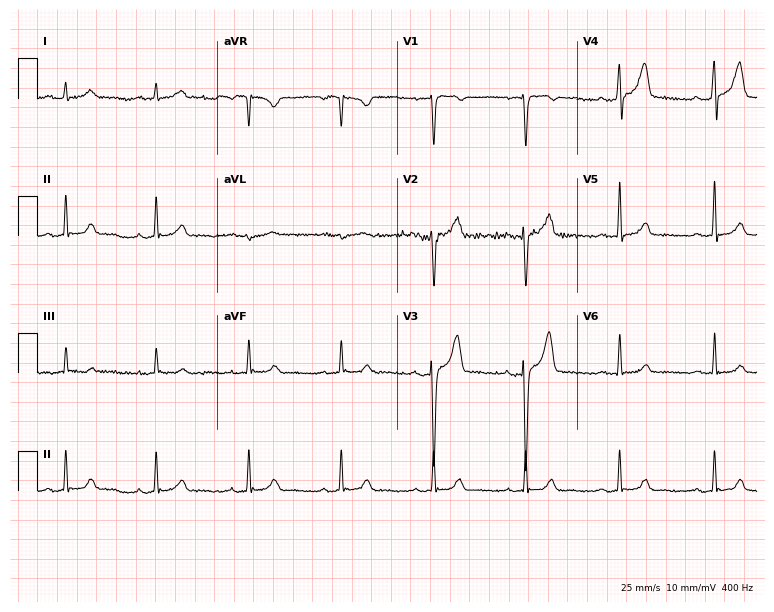
12-lead ECG (7.3-second recording at 400 Hz) from a 29-year-old male patient. Screened for six findings — first-degree AV block, right bundle branch block, left bundle branch block, sinus bradycardia, atrial fibrillation, sinus tachycardia — none is recorded. Other findings, if any, are not listed.